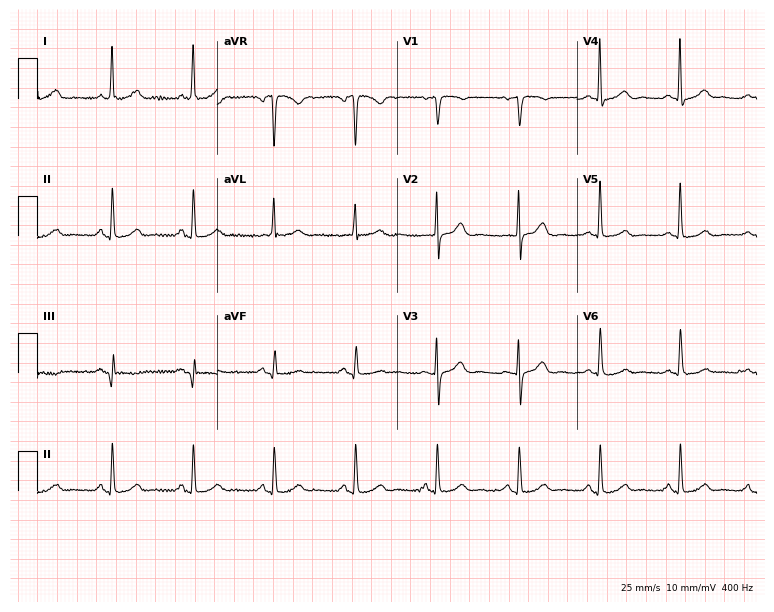
12-lead ECG from a woman, 73 years old. Screened for six findings — first-degree AV block, right bundle branch block (RBBB), left bundle branch block (LBBB), sinus bradycardia, atrial fibrillation (AF), sinus tachycardia — none is recorded.